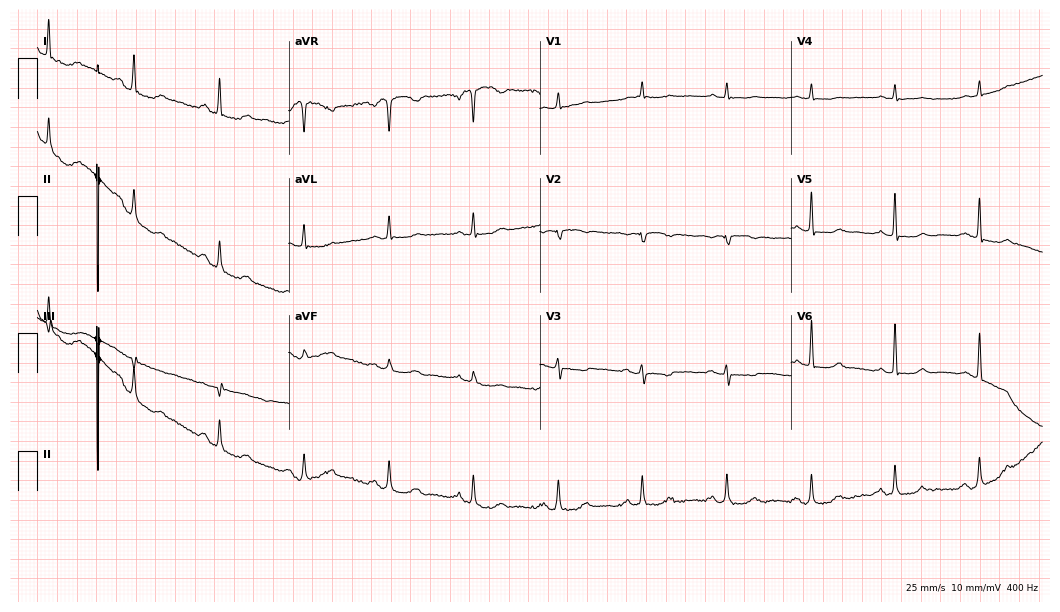
12-lead ECG (10.2-second recording at 400 Hz) from a 72-year-old female. Screened for six findings — first-degree AV block, right bundle branch block, left bundle branch block, sinus bradycardia, atrial fibrillation, sinus tachycardia — none is recorded.